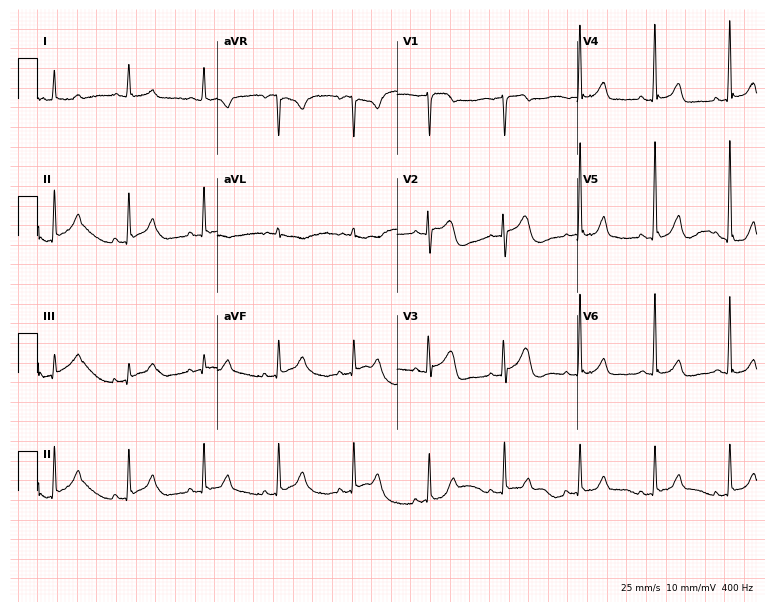
ECG (7.3-second recording at 400 Hz) — a female patient, 85 years old. Labelled as a normal ECG.